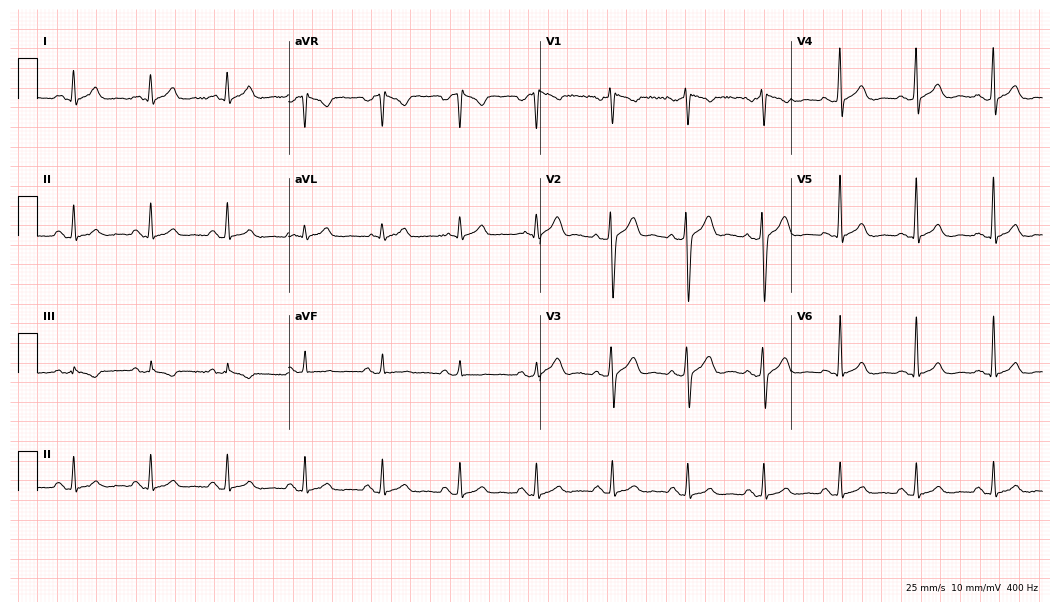
Standard 12-lead ECG recorded from a 42-year-old male (10.2-second recording at 400 Hz). None of these six findings is recorded: first-degree AV block, right bundle branch block, left bundle branch block, sinus bradycardia, atrial fibrillation, sinus tachycardia. Only these six findings were labelled.